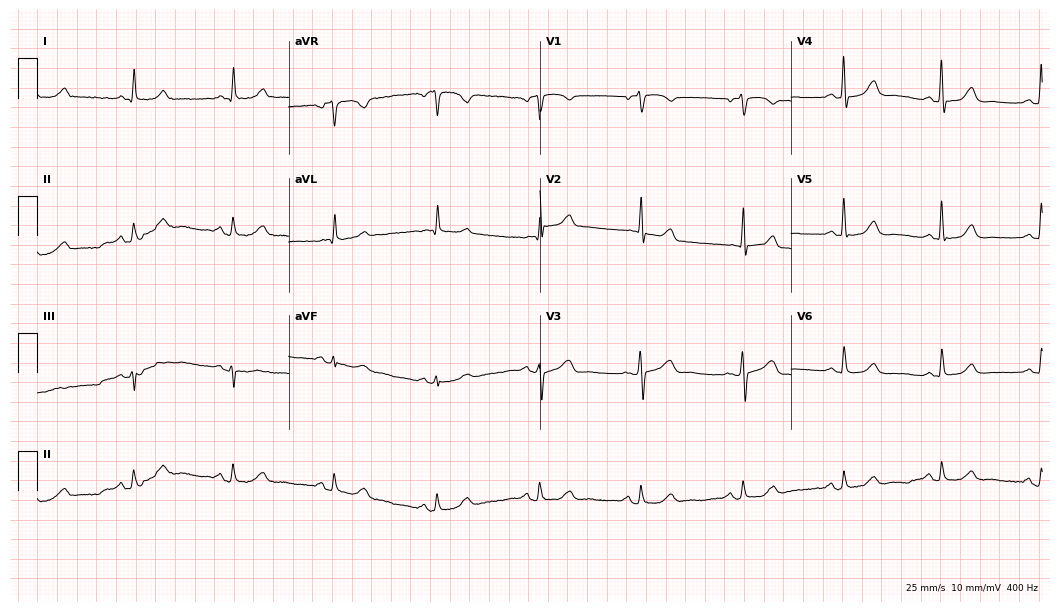
Electrocardiogram, an 83-year-old woman. Overall reading on record: normal ECG.